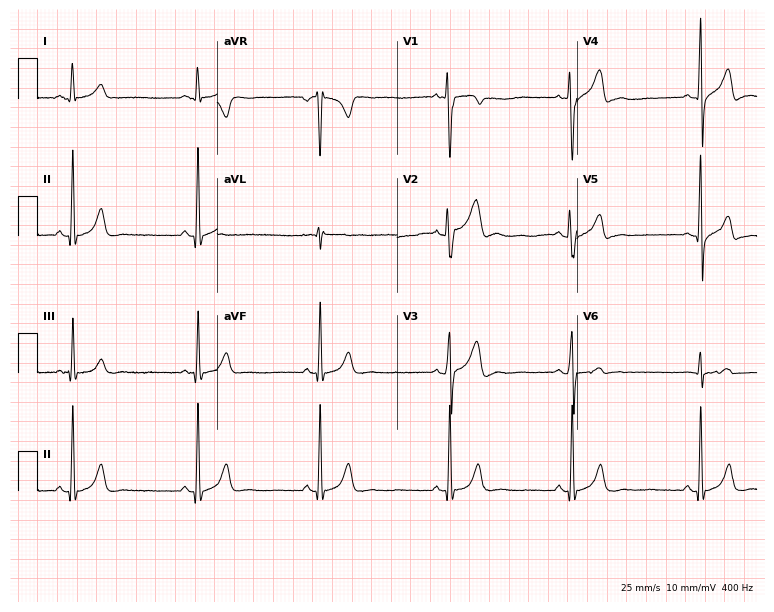
Resting 12-lead electrocardiogram. Patient: a 26-year-old male. The tracing shows sinus bradycardia (a sinus rate of 50 beats per minute or less).